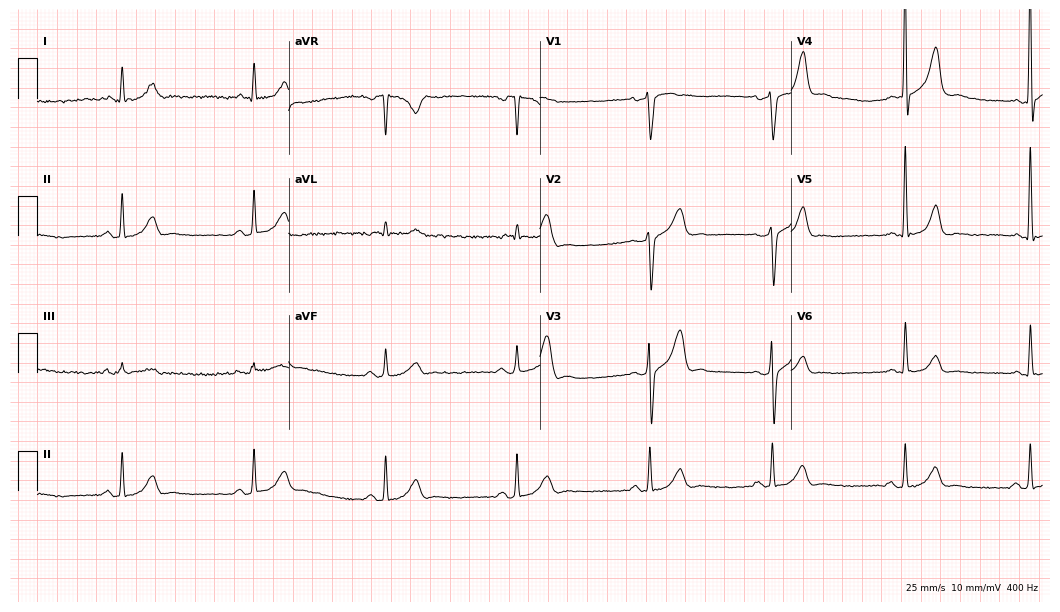
12-lead ECG from a male patient, 56 years old (10.2-second recording at 400 Hz). Shows sinus bradycardia (a sinus rate of 50 beats per minute or less).